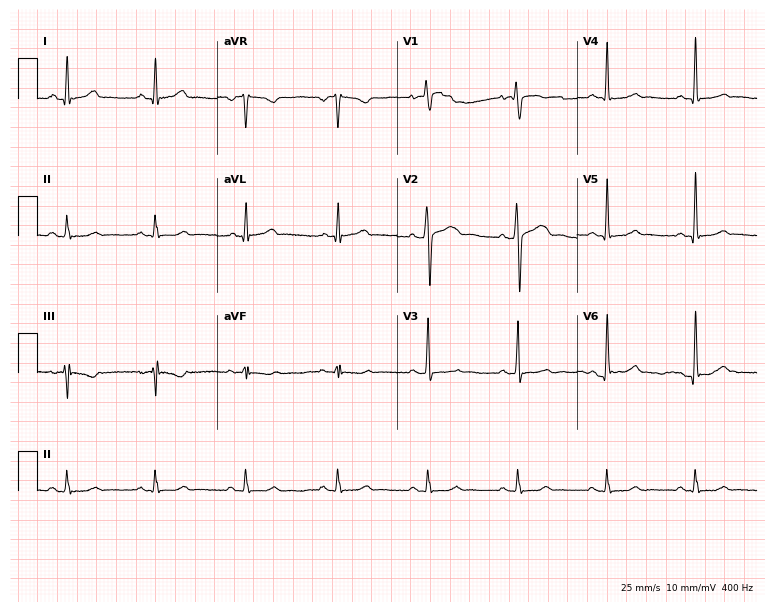
12-lead ECG from a male, 48 years old (7.3-second recording at 400 Hz). No first-degree AV block, right bundle branch block (RBBB), left bundle branch block (LBBB), sinus bradycardia, atrial fibrillation (AF) or sinus tachycardia recorded for this tracing. Only these six findings were labelled.